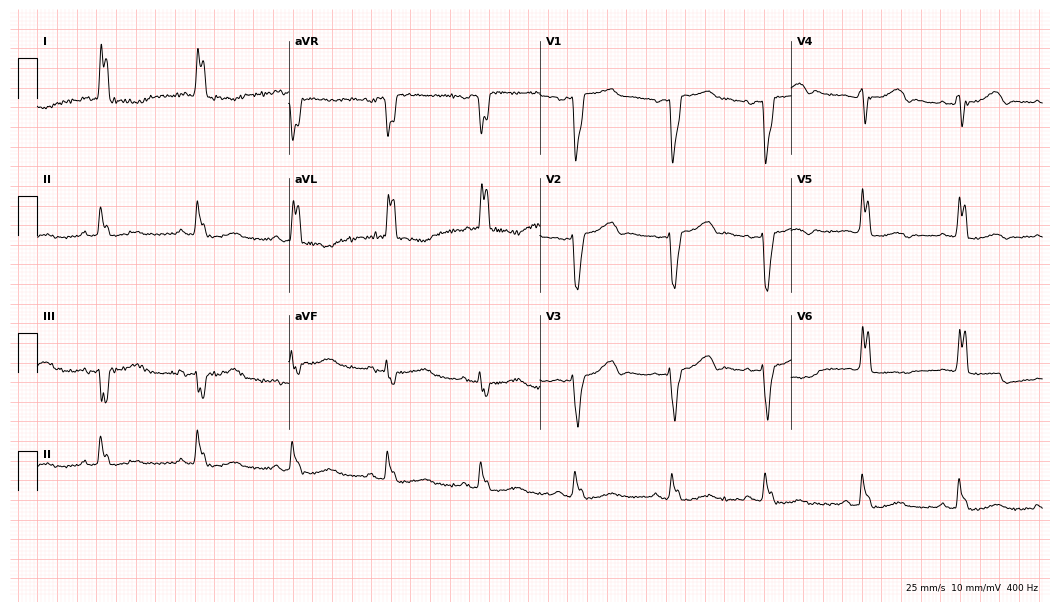
Resting 12-lead electrocardiogram (10.2-second recording at 400 Hz). Patient: a woman, 84 years old. The tracing shows left bundle branch block.